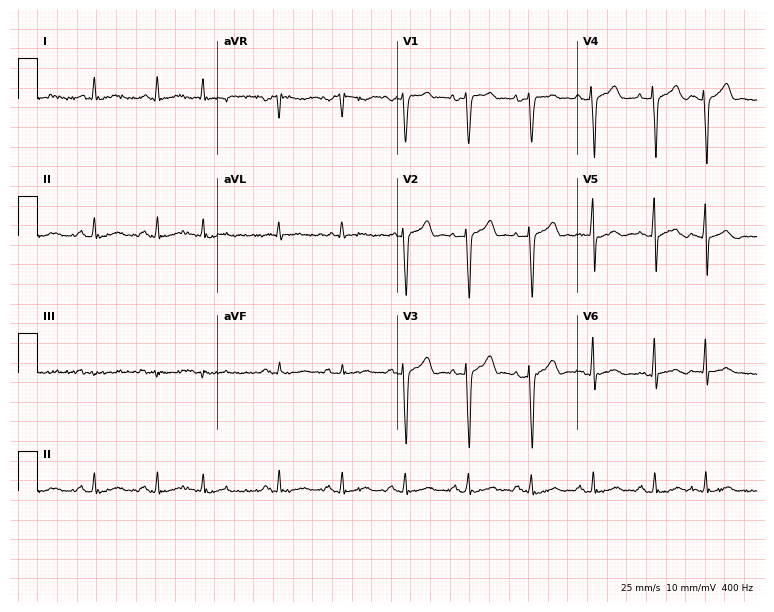
12-lead ECG from a 61-year-old male (7.3-second recording at 400 Hz). Recorded interpretation: within normal limits.